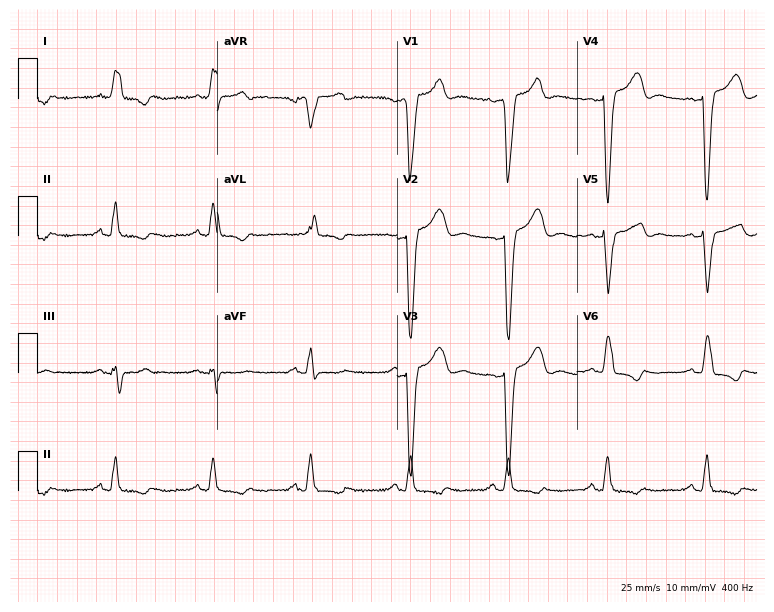
Resting 12-lead electrocardiogram (7.3-second recording at 400 Hz). Patient: a 72-year-old male. The tracing shows left bundle branch block.